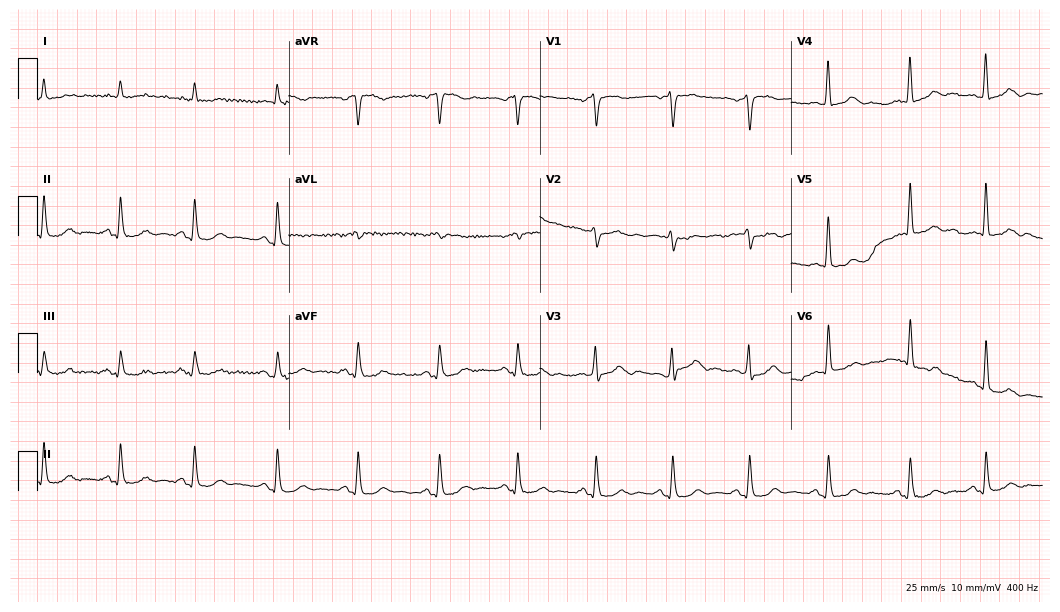
Standard 12-lead ECG recorded from a 60-year-old male patient. Read as a normal ECG.